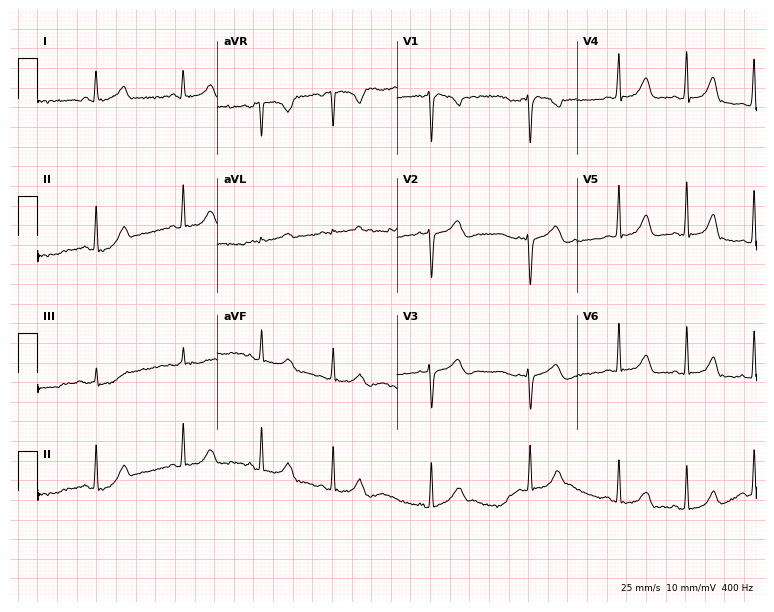
Electrocardiogram, a woman, 17 years old. Of the six screened findings (first-degree AV block, right bundle branch block, left bundle branch block, sinus bradycardia, atrial fibrillation, sinus tachycardia), none is recorded.